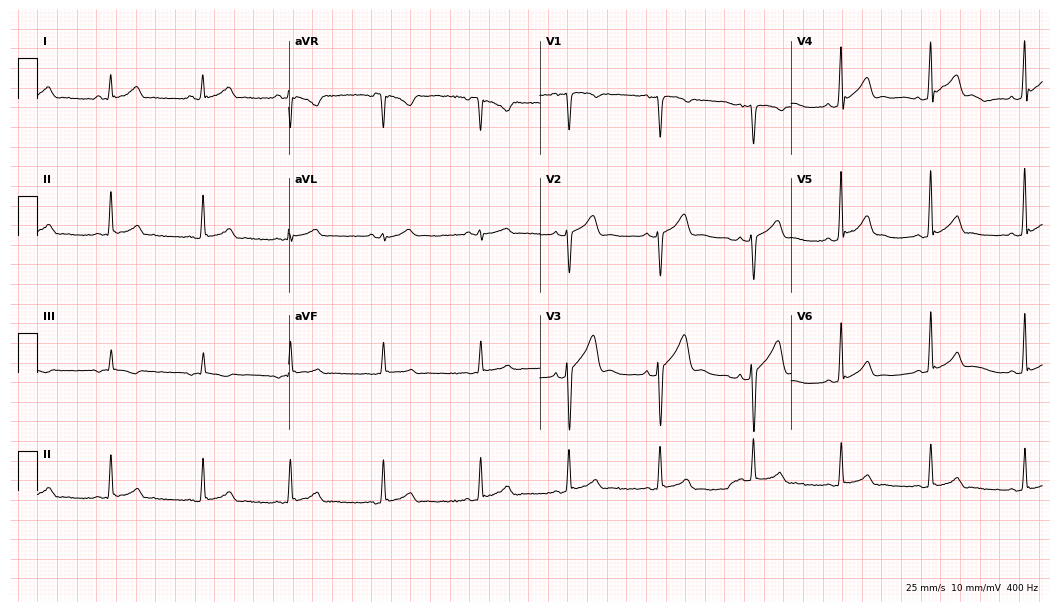
Electrocardiogram, a 29-year-old male. Overall reading on record: normal ECG.